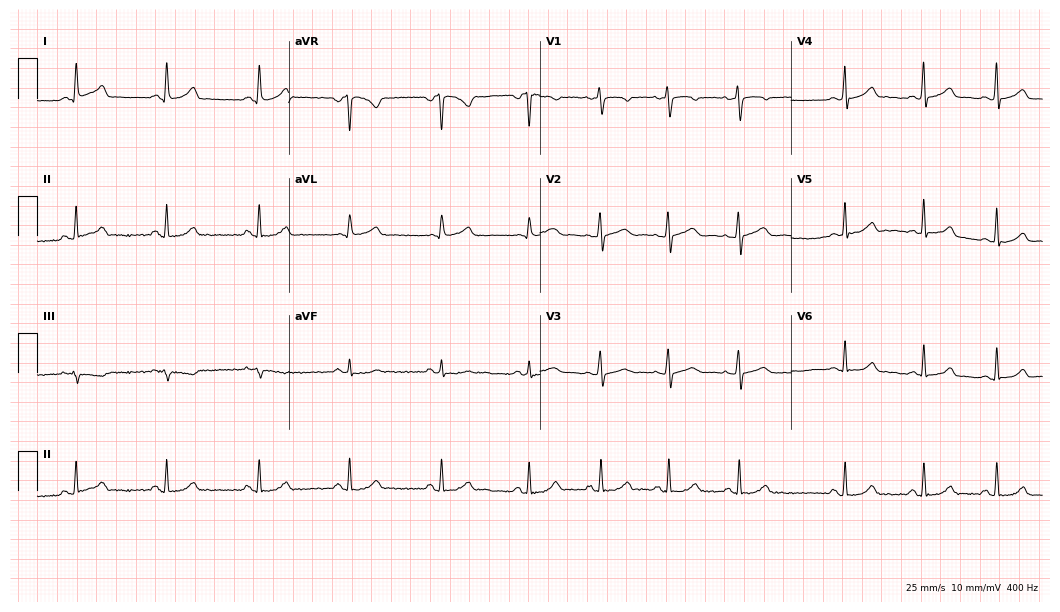
12-lead ECG from a 19-year-old female. Labelled as a normal ECG.